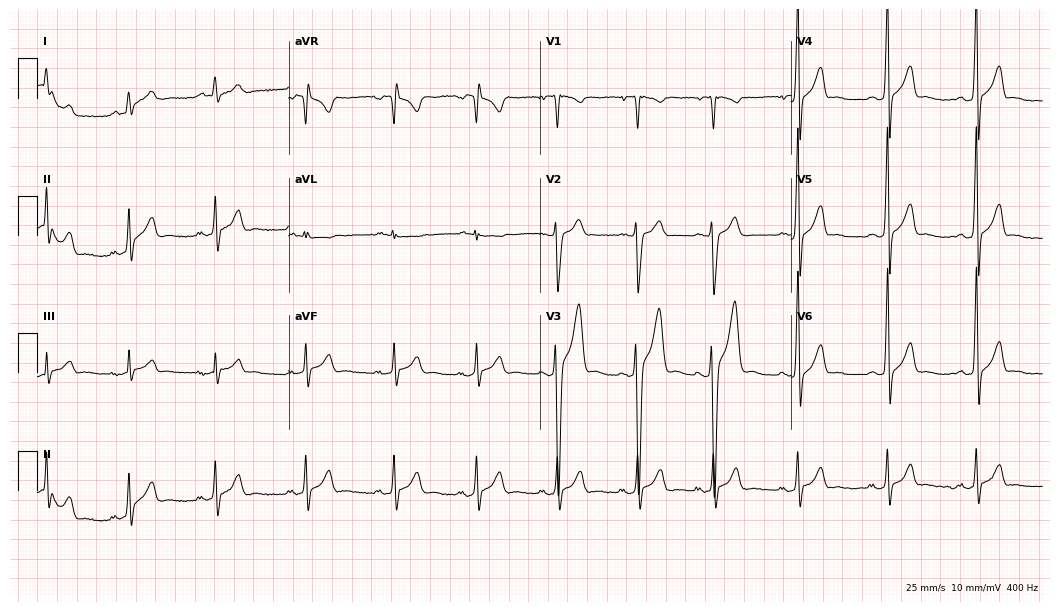
Electrocardiogram, a male, 19 years old. Of the six screened findings (first-degree AV block, right bundle branch block (RBBB), left bundle branch block (LBBB), sinus bradycardia, atrial fibrillation (AF), sinus tachycardia), none is recorded.